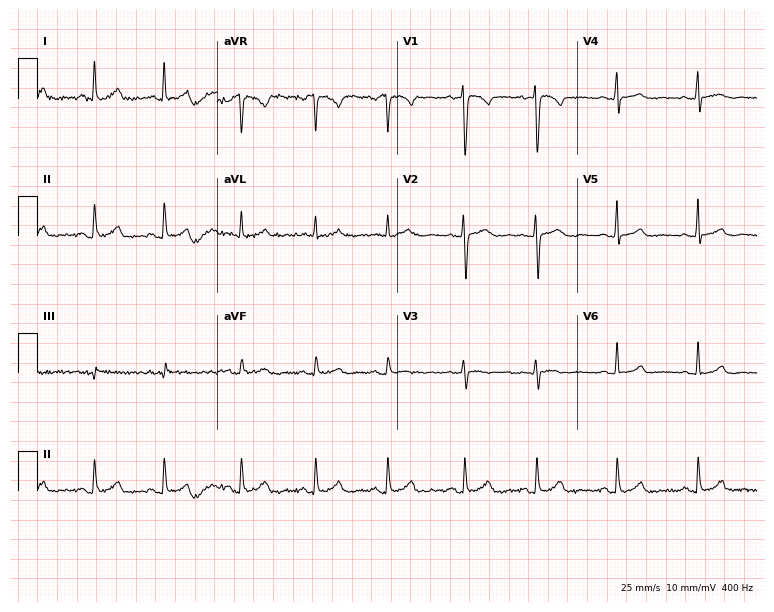
Electrocardiogram, a female, 35 years old. Overall reading on record: normal ECG.